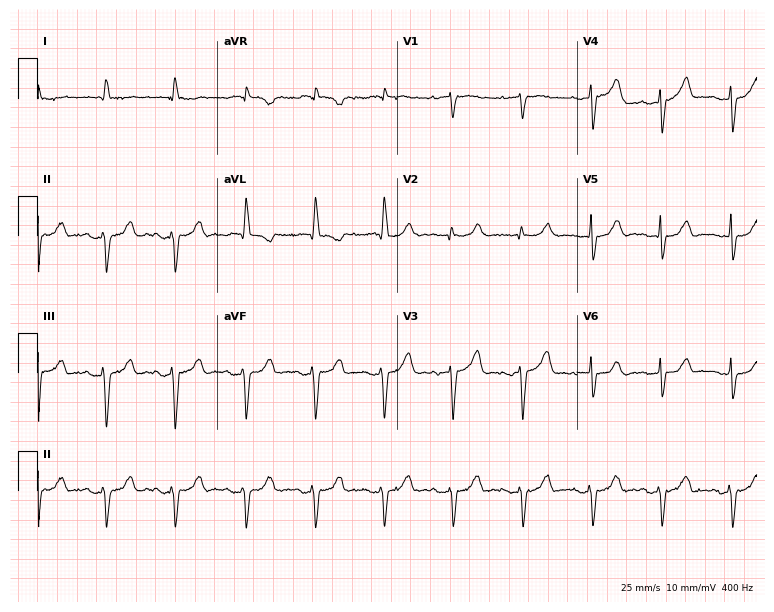
12-lead ECG from a woman, 83 years old. Screened for six findings — first-degree AV block, right bundle branch block, left bundle branch block, sinus bradycardia, atrial fibrillation, sinus tachycardia — none is recorded. Other findings, if any, are not listed.